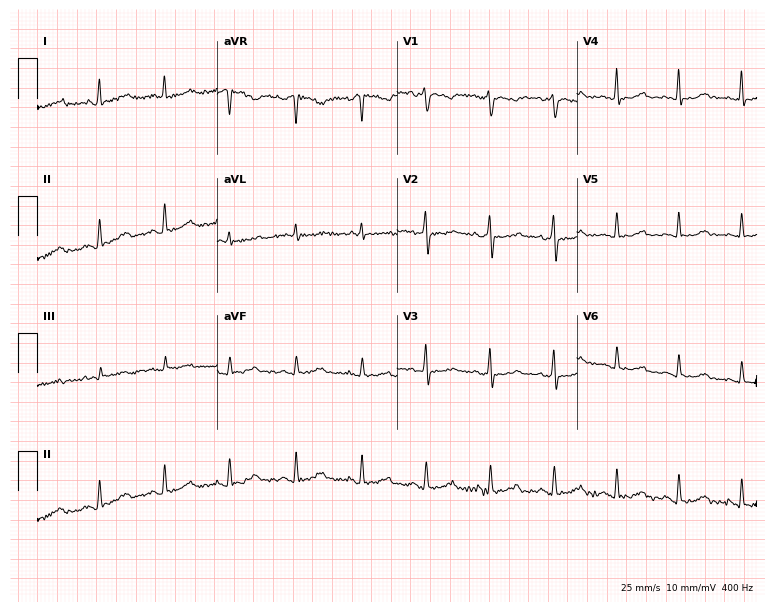
Standard 12-lead ECG recorded from a 40-year-old female (7.3-second recording at 400 Hz). None of these six findings is recorded: first-degree AV block, right bundle branch block (RBBB), left bundle branch block (LBBB), sinus bradycardia, atrial fibrillation (AF), sinus tachycardia.